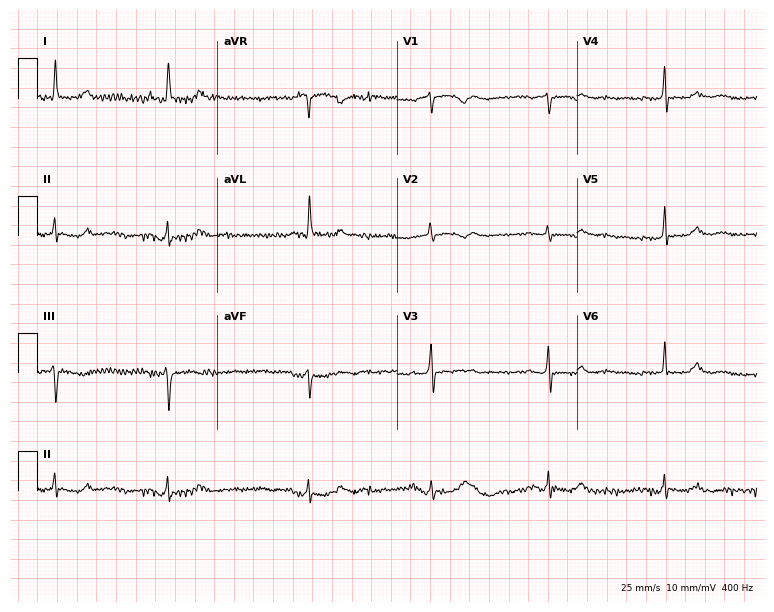
Resting 12-lead electrocardiogram. Patient: a 71-year-old woman. None of these six findings is recorded: first-degree AV block, right bundle branch block, left bundle branch block, sinus bradycardia, atrial fibrillation, sinus tachycardia.